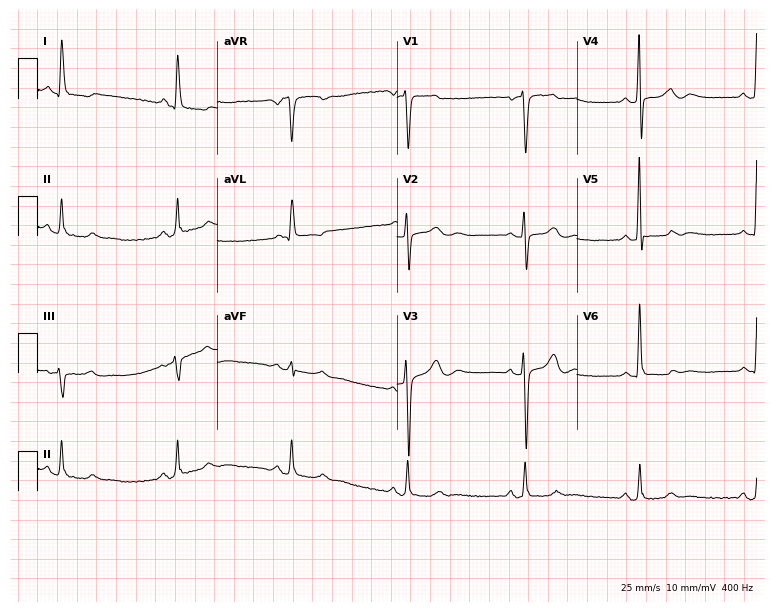
ECG — a 53-year-old female patient. Screened for six findings — first-degree AV block, right bundle branch block, left bundle branch block, sinus bradycardia, atrial fibrillation, sinus tachycardia — none is recorded. Findings outside these six are not listed.